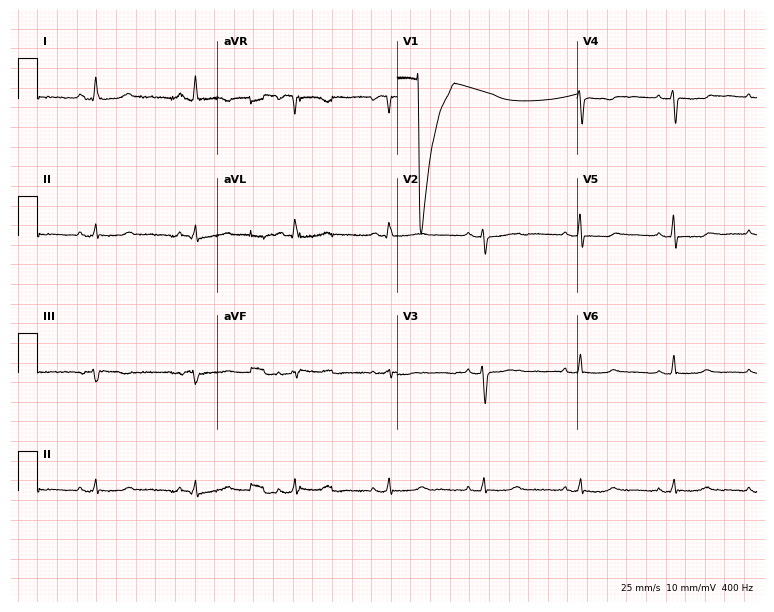
12-lead ECG from a woman, 46 years old (7.3-second recording at 400 Hz). No first-degree AV block, right bundle branch block (RBBB), left bundle branch block (LBBB), sinus bradycardia, atrial fibrillation (AF) or sinus tachycardia recorded for this tracing.